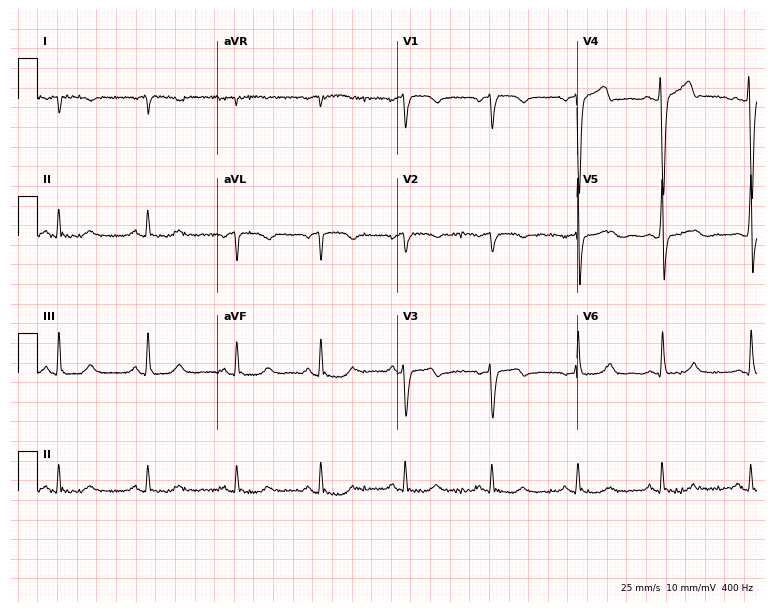
12-lead ECG from a 60-year-old woman. No first-degree AV block, right bundle branch block, left bundle branch block, sinus bradycardia, atrial fibrillation or sinus tachycardia recorded for this tracing.